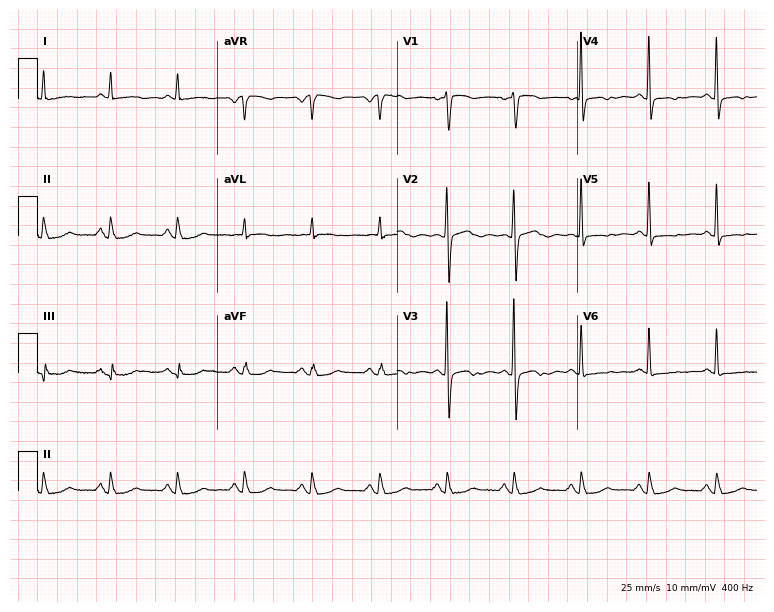
Electrocardiogram, a woman, 86 years old. Of the six screened findings (first-degree AV block, right bundle branch block (RBBB), left bundle branch block (LBBB), sinus bradycardia, atrial fibrillation (AF), sinus tachycardia), none is recorded.